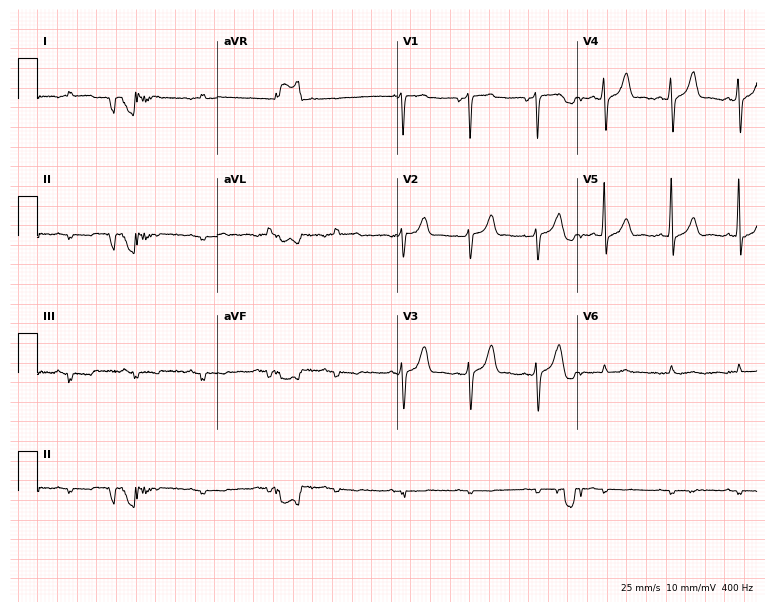
Standard 12-lead ECG recorded from a 61-year-old male patient. Read as a normal ECG.